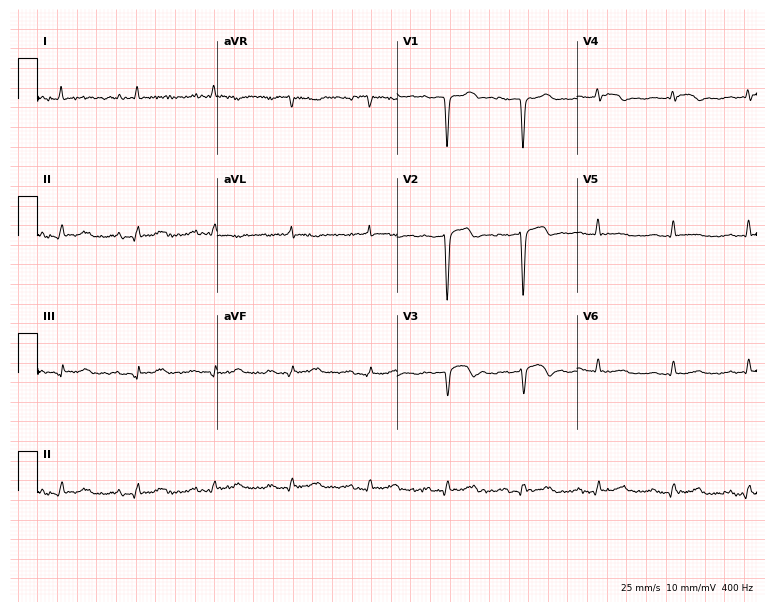
Resting 12-lead electrocardiogram. Patient: a 70-year-old man. None of these six findings is recorded: first-degree AV block, right bundle branch block, left bundle branch block, sinus bradycardia, atrial fibrillation, sinus tachycardia. Findings outside these six are not listed.